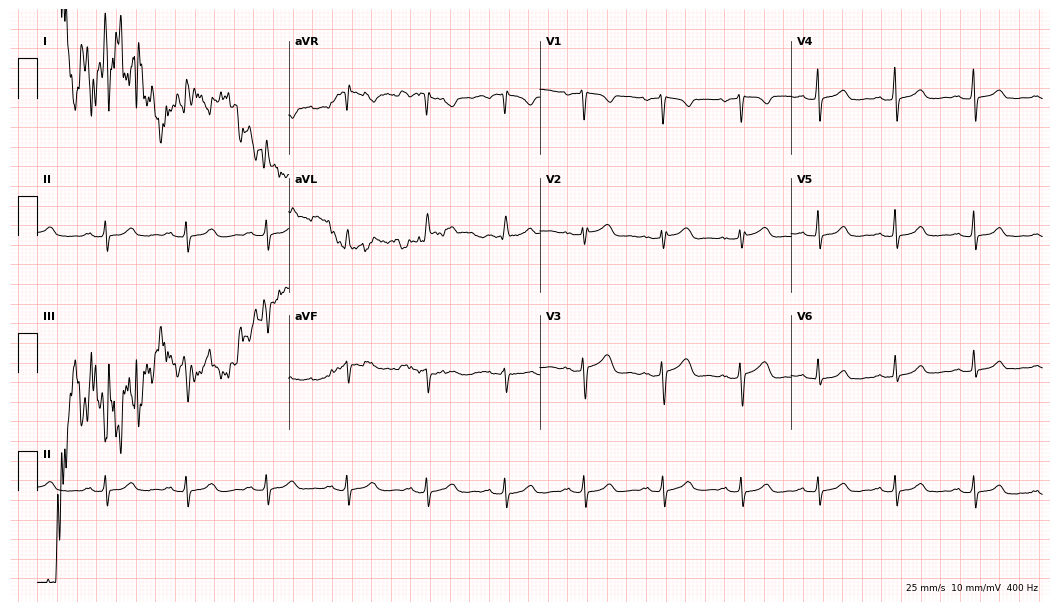
Standard 12-lead ECG recorded from a 47-year-old female patient (10.2-second recording at 400 Hz). None of these six findings is recorded: first-degree AV block, right bundle branch block, left bundle branch block, sinus bradycardia, atrial fibrillation, sinus tachycardia. Other findings, if any, are not listed.